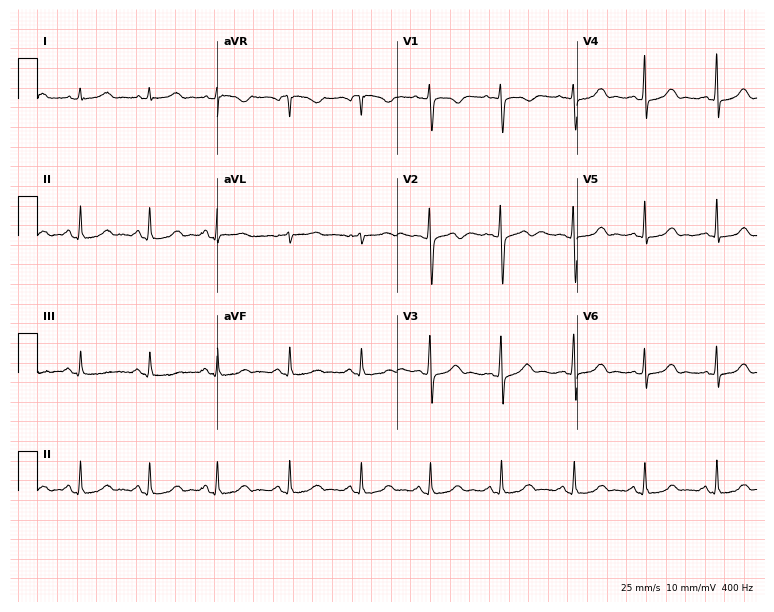
12-lead ECG from a 31-year-old woman. Screened for six findings — first-degree AV block, right bundle branch block (RBBB), left bundle branch block (LBBB), sinus bradycardia, atrial fibrillation (AF), sinus tachycardia — none is recorded.